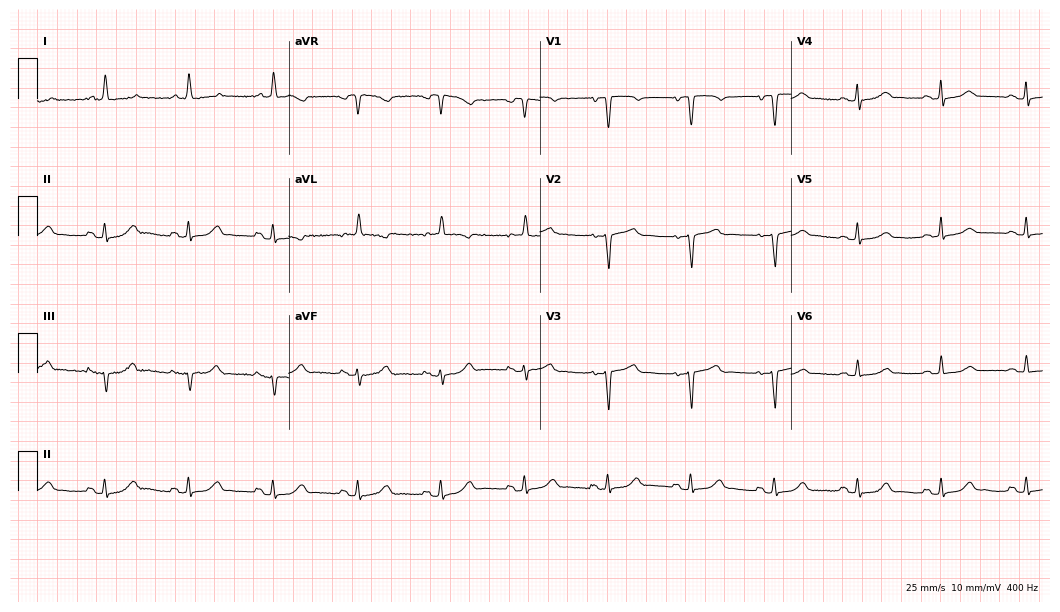
Resting 12-lead electrocardiogram. Patient: a woman, 67 years old. None of these six findings is recorded: first-degree AV block, right bundle branch block, left bundle branch block, sinus bradycardia, atrial fibrillation, sinus tachycardia. Only these six findings were labelled.